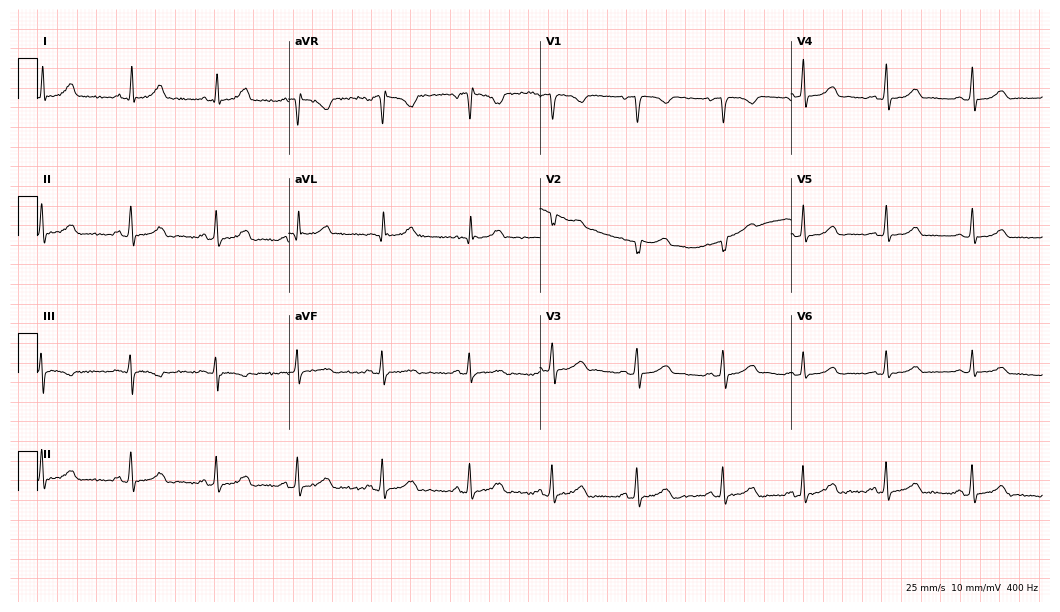
Electrocardiogram (10.2-second recording at 400 Hz), a 38-year-old woman. Of the six screened findings (first-degree AV block, right bundle branch block, left bundle branch block, sinus bradycardia, atrial fibrillation, sinus tachycardia), none is recorded.